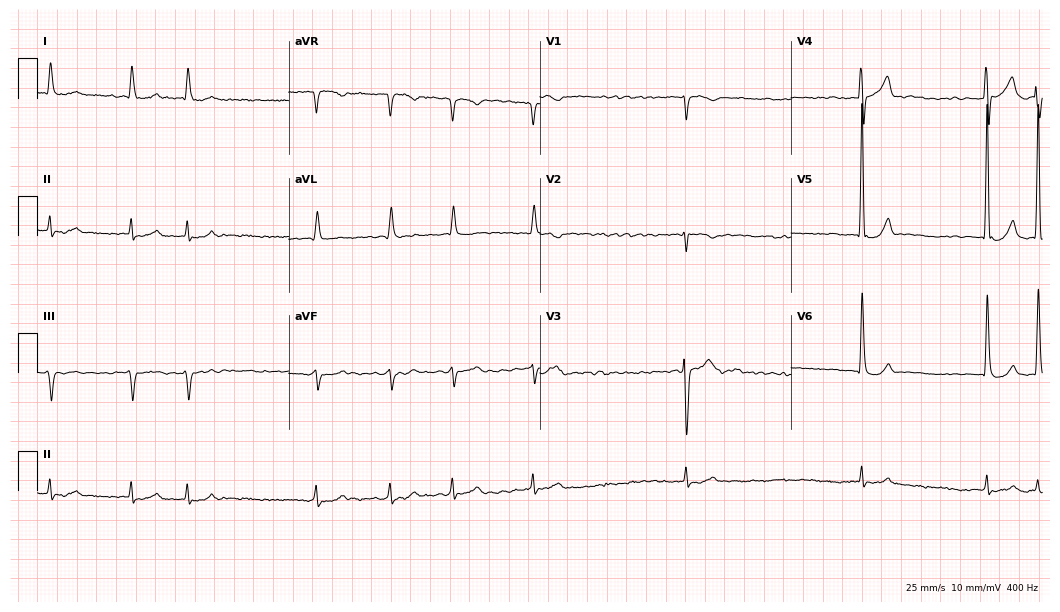
Standard 12-lead ECG recorded from a 77-year-old male patient. The tracing shows atrial fibrillation.